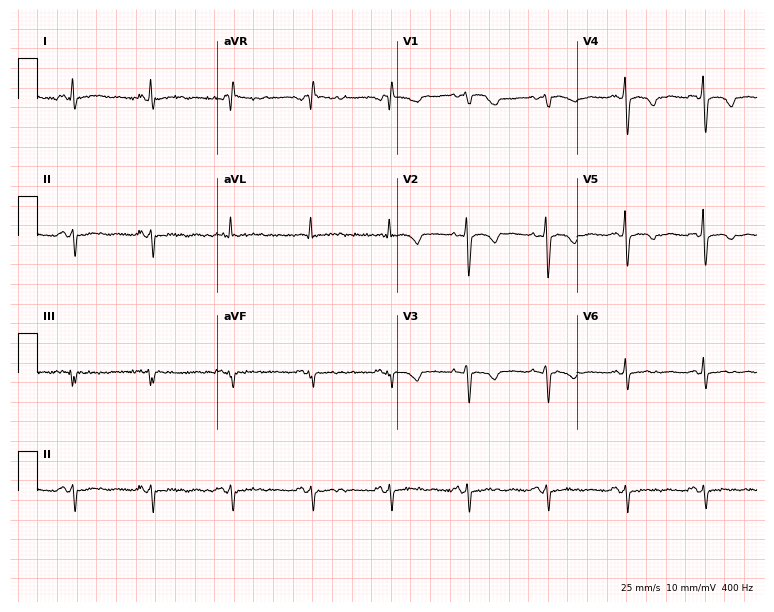
12-lead ECG from a 59-year-old woman. No first-degree AV block, right bundle branch block (RBBB), left bundle branch block (LBBB), sinus bradycardia, atrial fibrillation (AF) or sinus tachycardia recorded for this tracing.